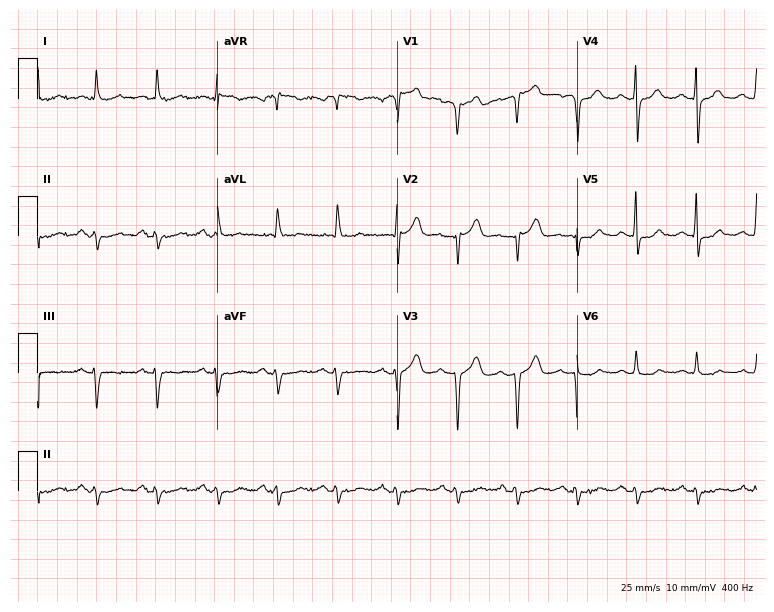
Resting 12-lead electrocardiogram. Patient: a 79-year-old female. None of these six findings is recorded: first-degree AV block, right bundle branch block, left bundle branch block, sinus bradycardia, atrial fibrillation, sinus tachycardia.